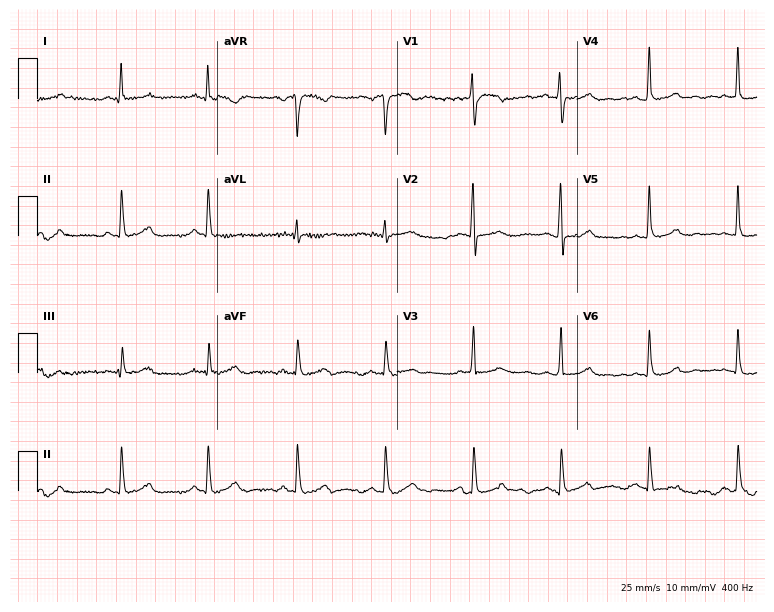
Electrocardiogram (7.3-second recording at 400 Hz), a 75-year-old female patient. Of the six screened findings (first-degree AV block, right bundle branch block (RBBB), left bundle branch block (LBBB), sinus bradycardia, atrial fibrillation (AF), sinus tachycardia), none is recorded.